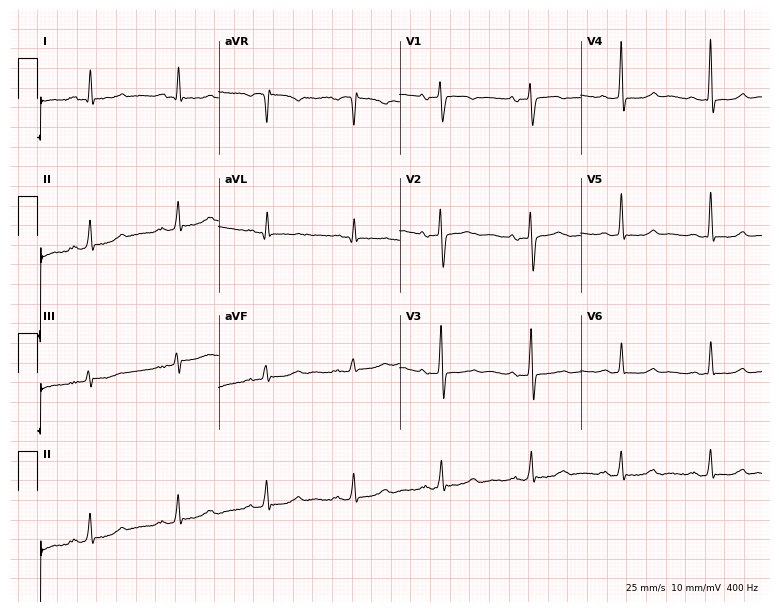
ECG — a woman, 66 years old. Screened for six findings — first-degree AV block, right bundle branch block, left bundle branch block, sinus bradycardia, atrial fibrillation, sinus tachycardia — none is recorded. Findings outside these six are not listed.